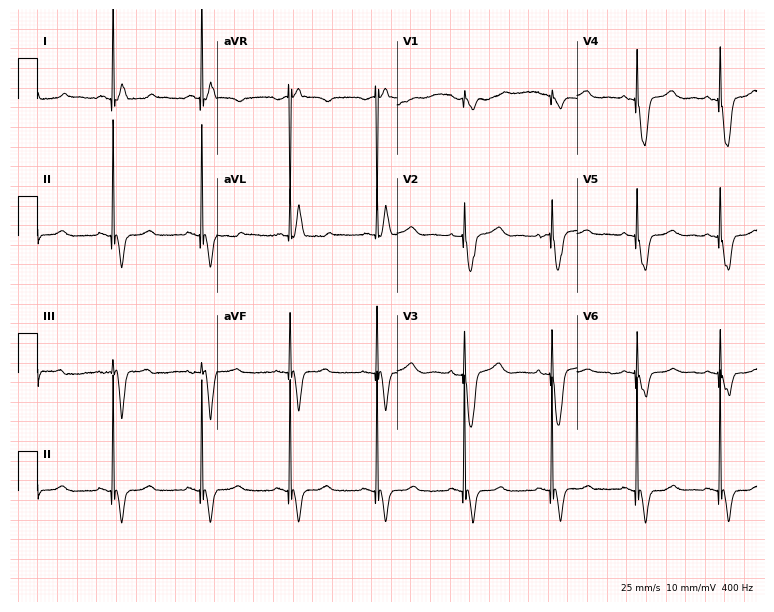
Standard 12-lead ECG recorded from a 64-year-old male patient (7.3-second recording at 400 Hz). None of these six findings is recorded: first-degree AV block, right bundle branch block, left bundle branch block, sinus bradycardia, atrial fibrillation, sinus tachycardia. Only these six findings were labelled.